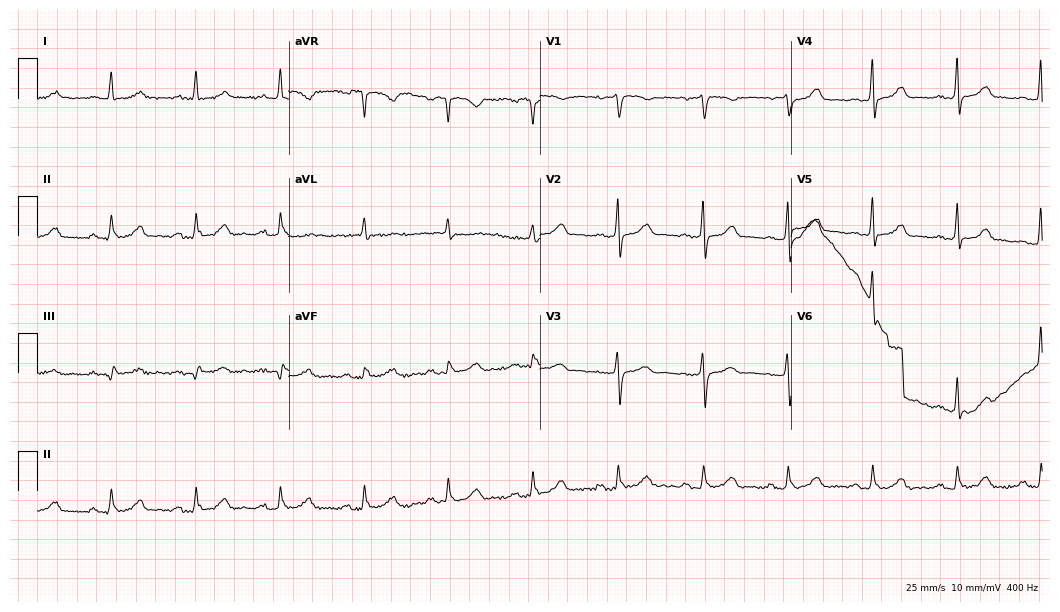
Standard 12-lead ECG recorded from a 43-year-old female (10.2-second recording at 400 Hz). Read as a normal ECG.